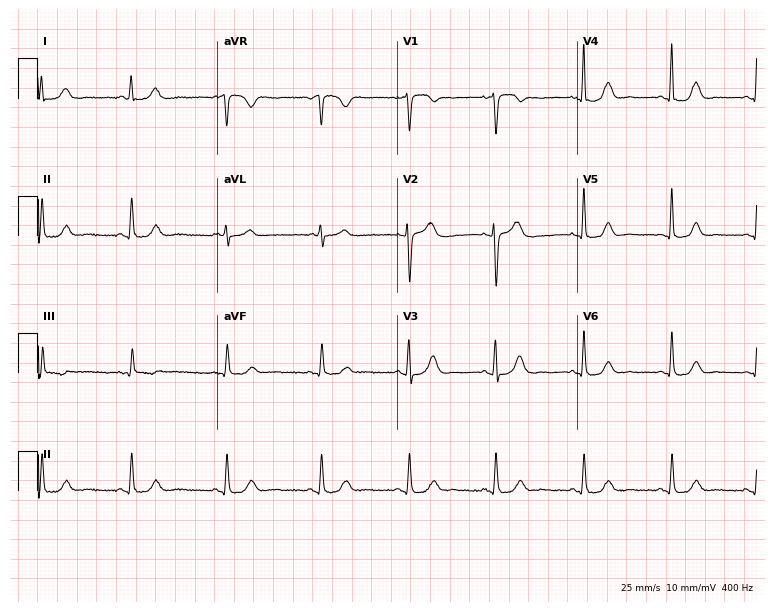
Electrocardiogram, a female, 53 years old. Overall reading on record: normal ECG.